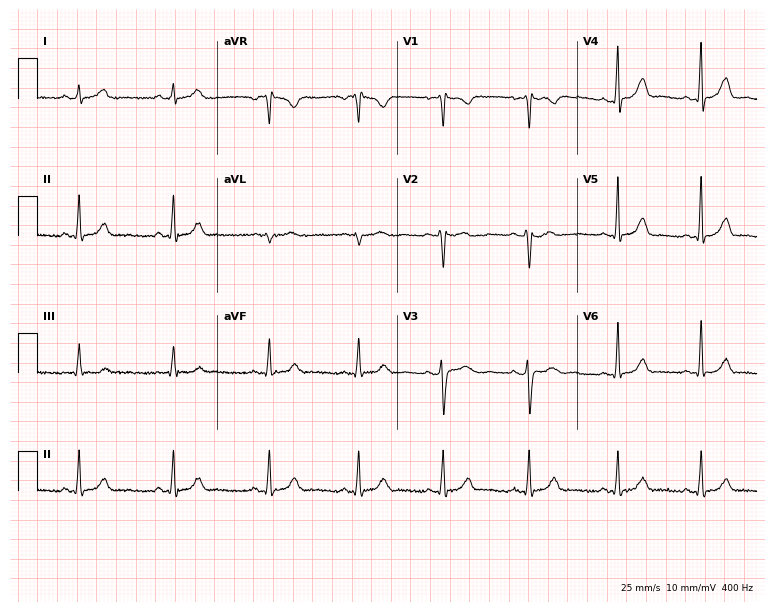
ECG — a 22-year-old female. Screened for six findings — first-degree AV block, right bundle branch block, left bundle branch block, sinus bradycardia, atrial fibrillation, sinus tachycardia — none is recorded.